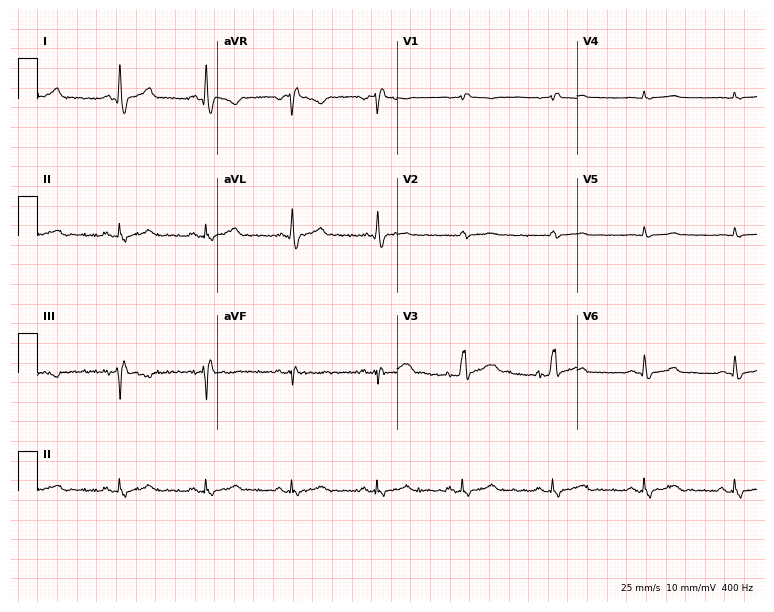
12-lead ECG (7.3-second recording at 400 Hz) from a 50-year-old male. Screened for six findings — first-degree AV block, right bundle branch block (RBBB), left bundle branch block (LBBB), sinus bradycardia, atrial fibrillation (AF), sinus tachycardia — none is recorded.